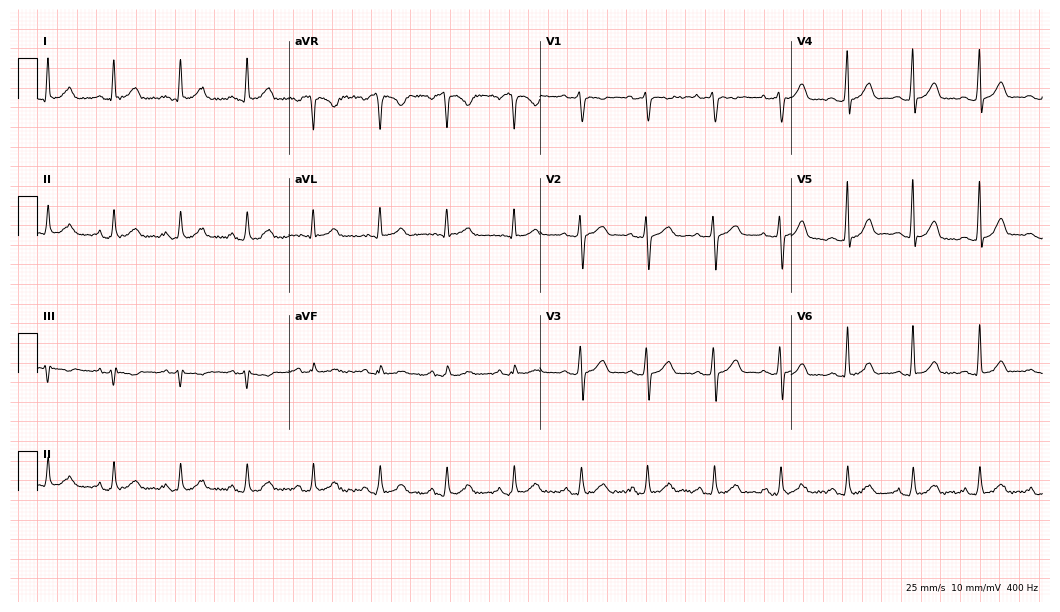
12-lead ECG from a 28-year-old woman. Recorded interpretation: within normal limits.